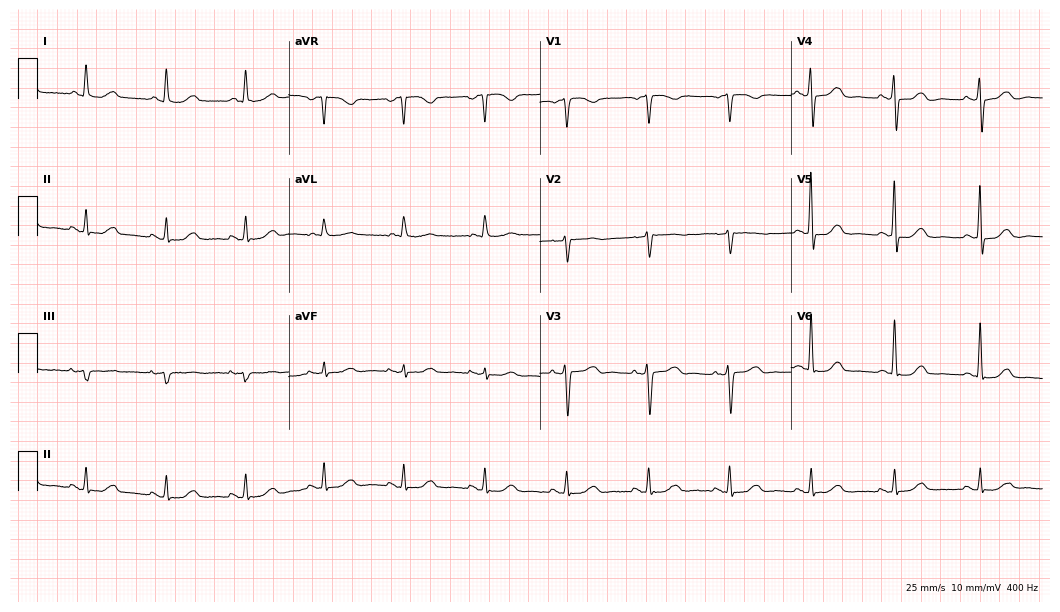
Resting 12-lead electrocardiogram (10.2-second recording at 400 Hz). Patient: a 66-year-old female. Read as a normal ECG.